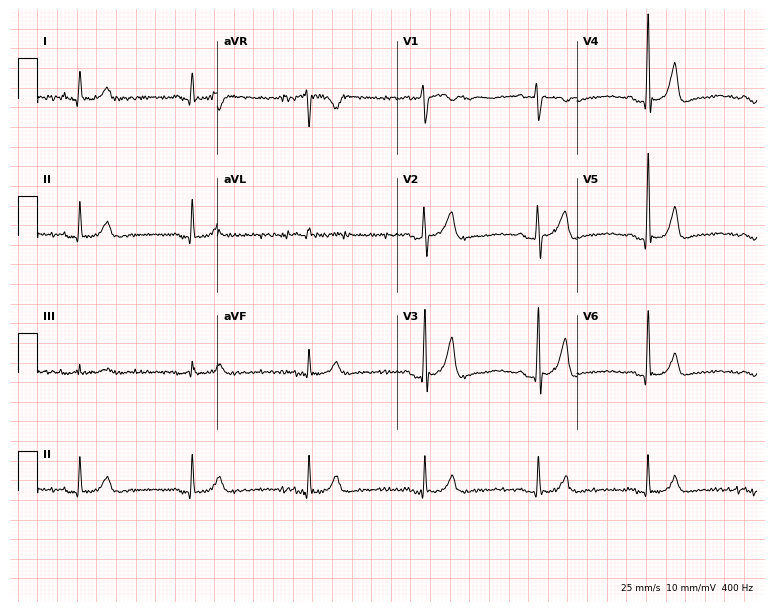
Resting 12-lead electrocardiogram. Patient: a 63-year-old male. Read as a normal ECG.